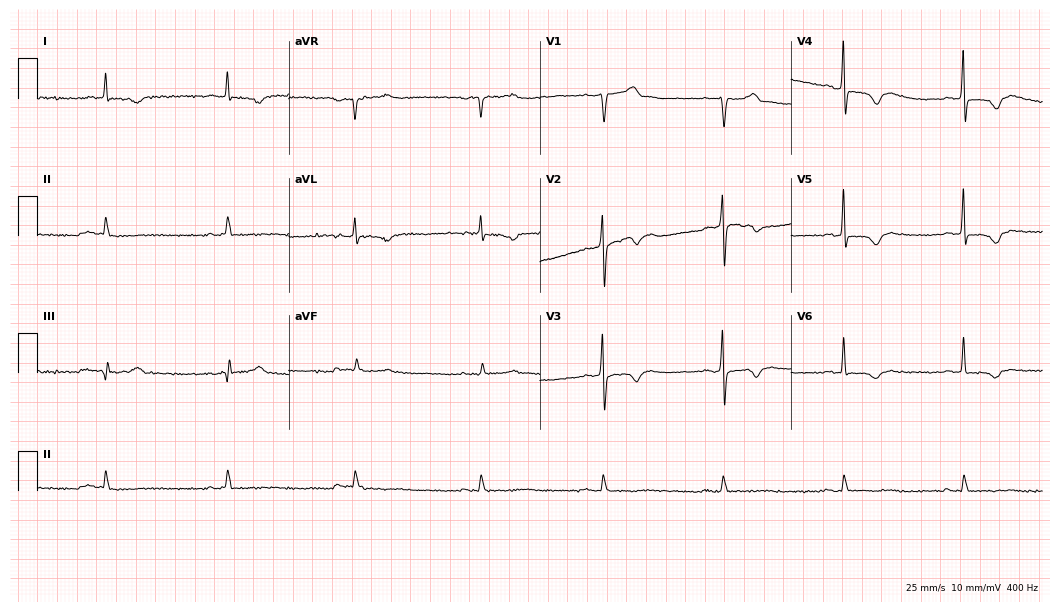
ECG (10.2-second recording at 400 Hz) — a 69-year-old male. Screened for six findings — first-degree AV block, right bundle branch block (RBBB), left bundle branch block (LBBB), sinus bradycardia, atrial fibrillation (AF), sinus tachycardia — none is recorded.